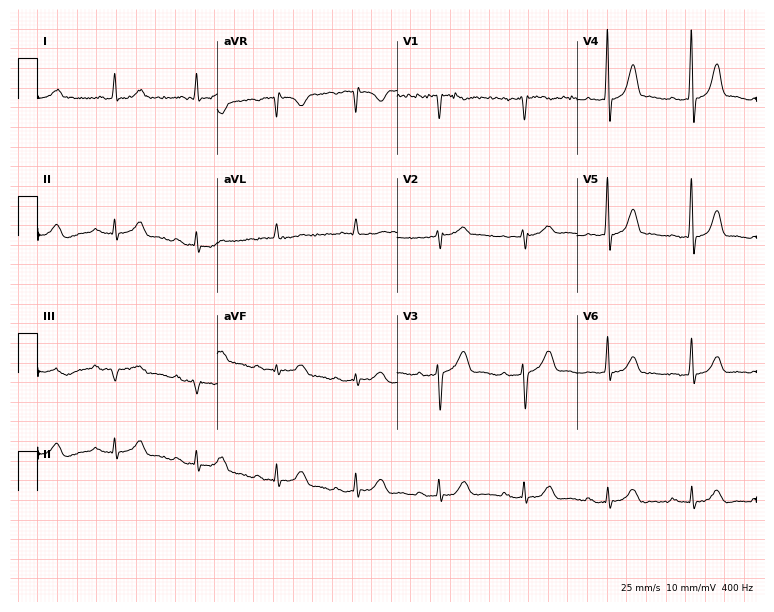
ECG — a female patient, 81 years old. Screened for six findings — first-degree AV block, right bundle branch block (RBBB), left bundle branch block (LBBB), sinus bradycardia, atrial fibrillation (AF), sinus tachycardia — none is recorded.